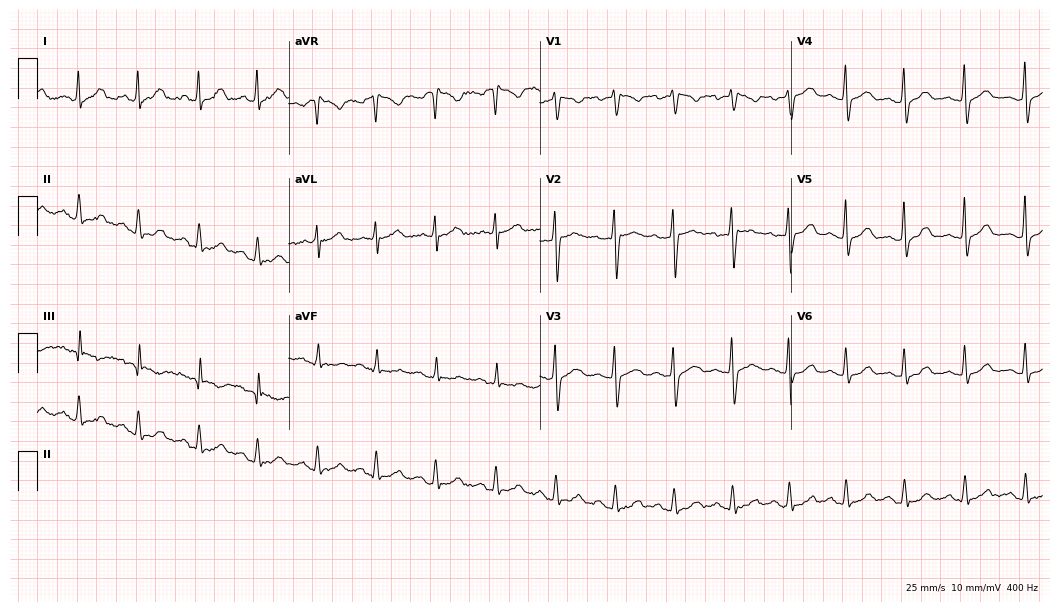
Resting 12-lead electrocardiogram (10.2-second recording at 400 Hz). Patient: a 33-year-old woman. None of these six findings is recorded: first-degree AV block, right bundle branch block, left bundle branch block, sinus bradycardia, atrial fibrillation, sinus tachycardia.